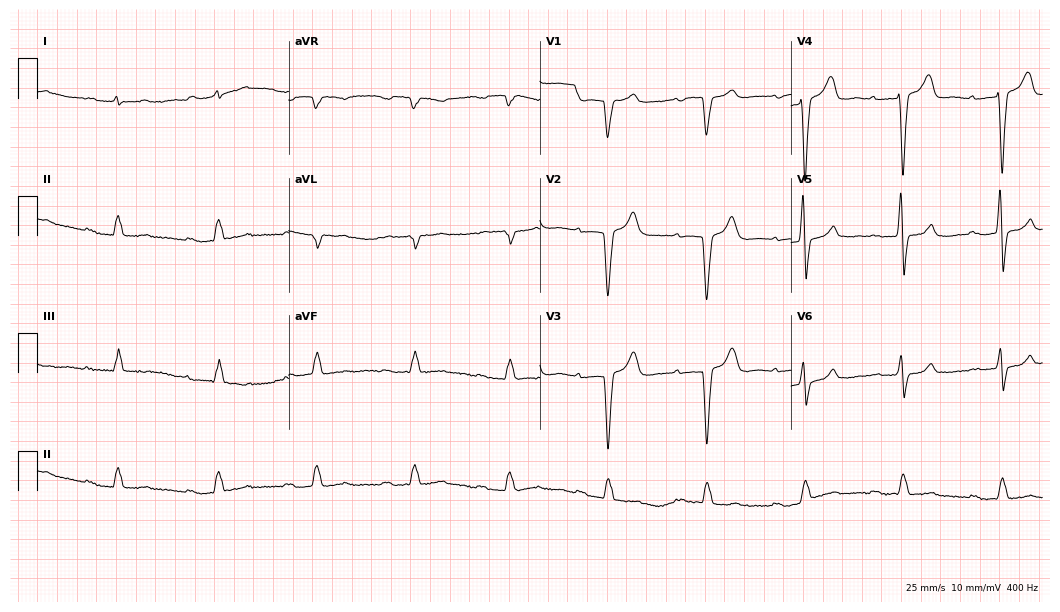
12-lead ECG (10.2-second recording at 400 Hz) from a 60-year-old male. Findings include first-degree AV block, left bundle branch block.